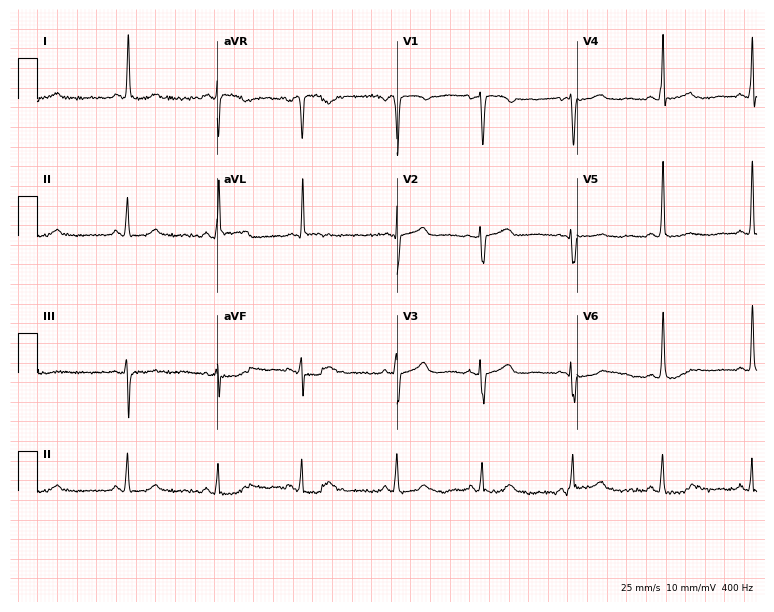
ECG — a female patient, 68 years old. Labelled as a normal ECG.